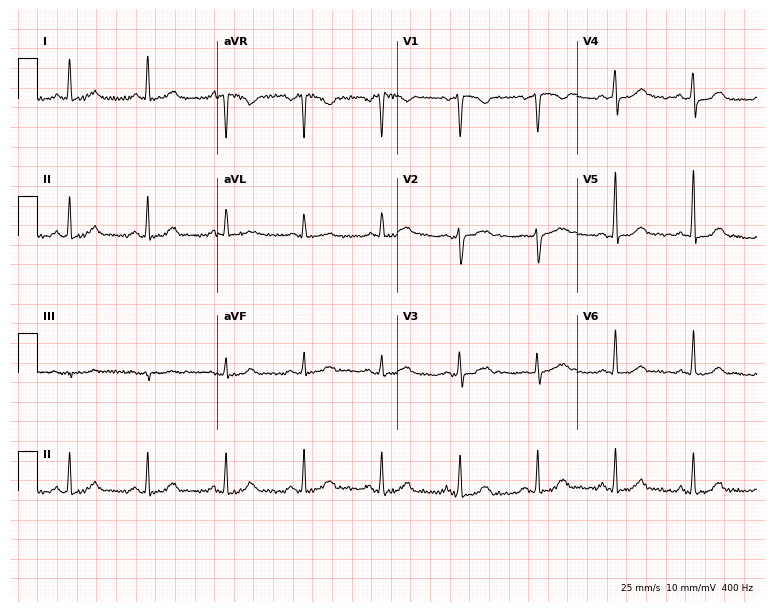
Resting 12-lead electrocardiogram. Patient: a 53-year-old man. Read as a normal ECG.